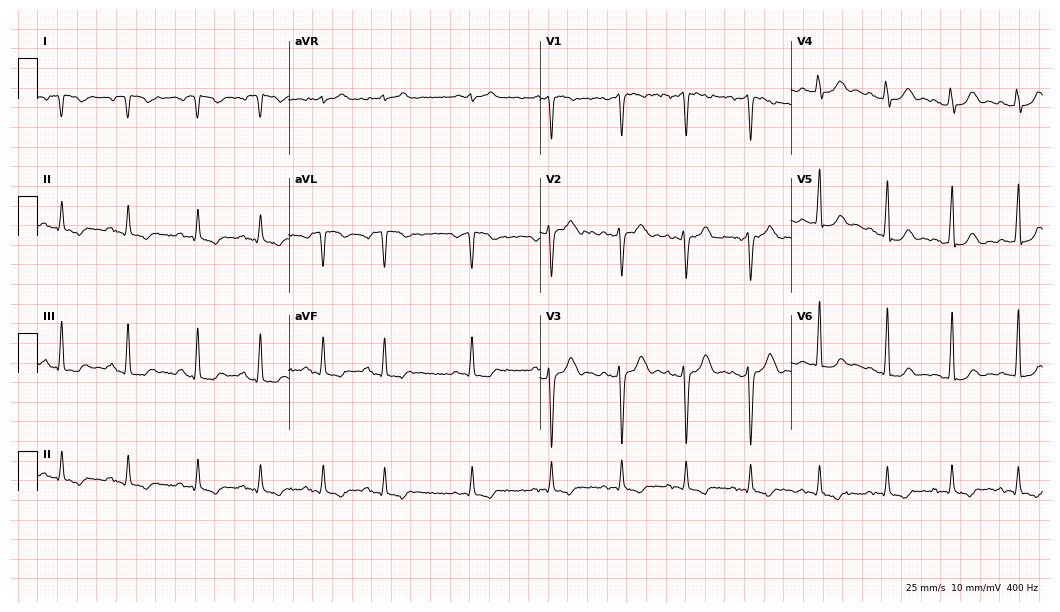
12-lead ECG from a 25-year-old woman (10.2-second recording at 400 Hz). No first-degree AV block, right bundle branch block, left bundle branch block, sinus bradycardia, atrial fibrillation or sinus tachycardia recorded for this tracing. Only these six findings were labelled.